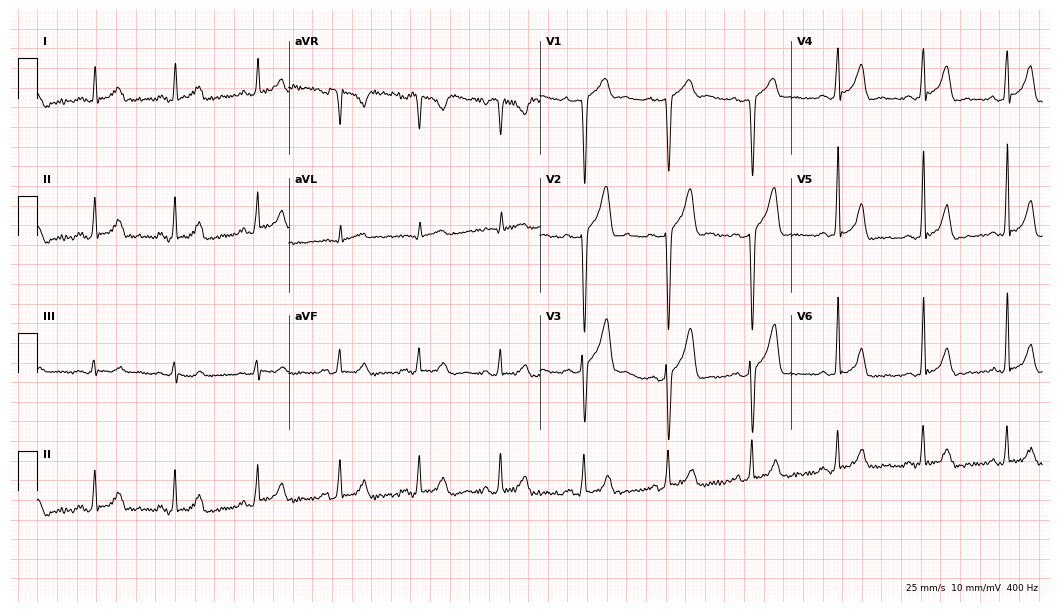
ECG — a male patient, 28 years old. Labelled as a normal ECG.